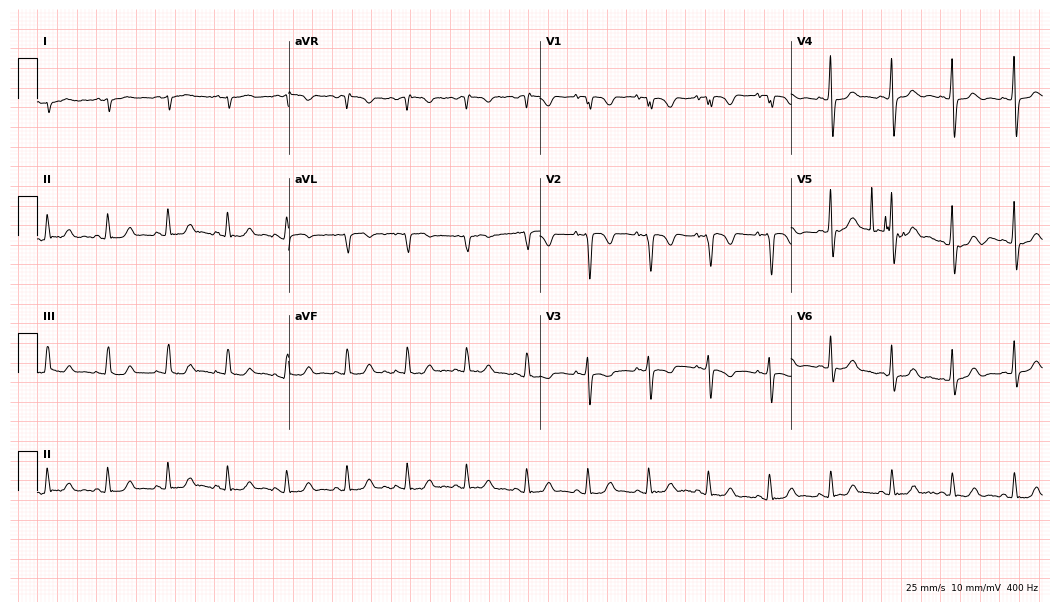
12-lead ECG from a 60-year-old female. Screened for six findings — first-degree AV block, right bundle branch block, left bundle branch block, sinus bradycardia, atrial fibrillation, sinus tachycardia — none is recorded. Findings outside these six are not listed.